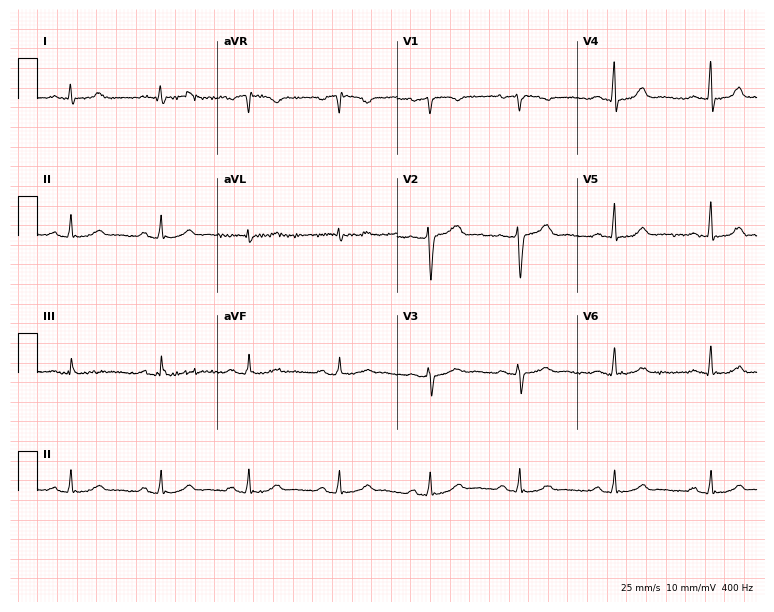
12-lead ECG from a female patient, 56 years old. Labelled as a normal ECG.